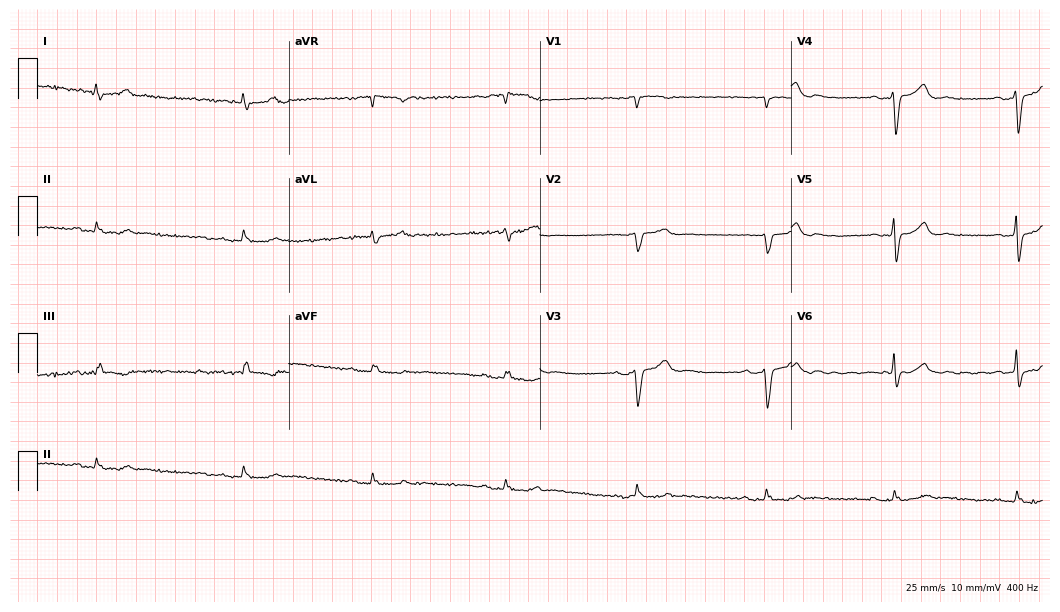
ECG (10.2-second recording at 400 Hz) — a 77-year-old male patient. Findings include first-degree AV block, sinus bradycardia (a sinus rate of 50 beats per minute or less).